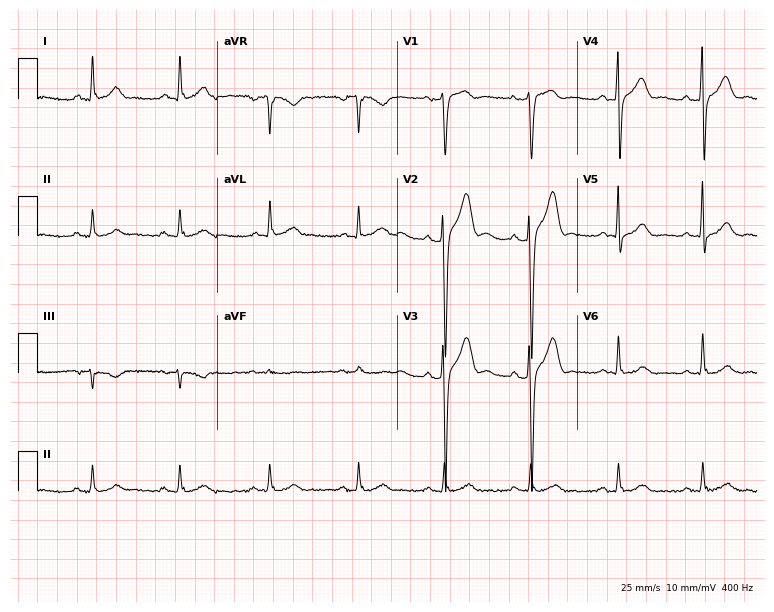
ECG (7.3-second recording at 400 Hz) — a 43-year-old male. Labelled as a normal ECG.